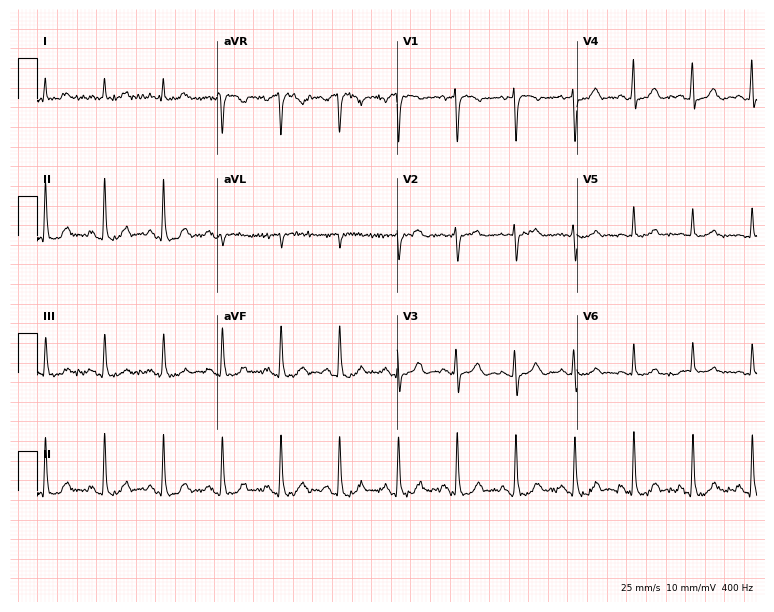
Resting 12-lead electrocardiogram. Patient: a female, 80 years old. The tracing shows sinus tachycardia (a sinus rate of 100 beats per minute or more).